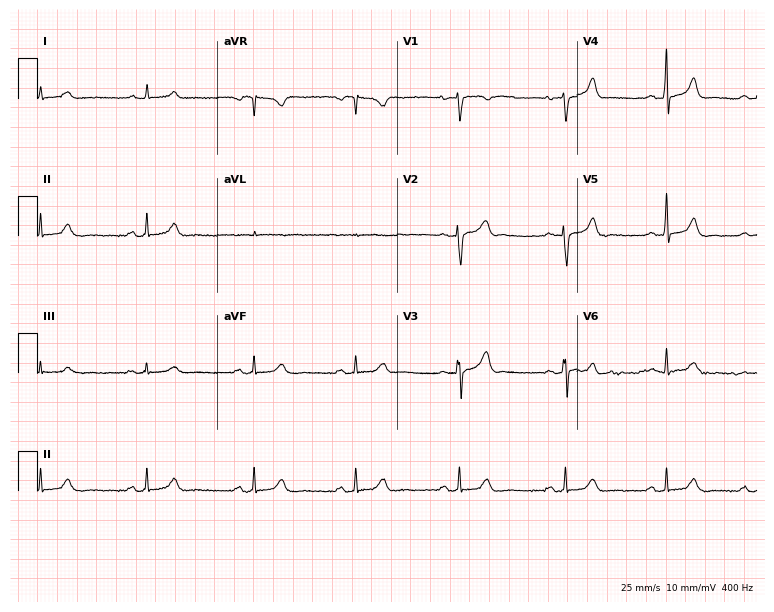
Resting 12-lead electrocardiogram. Patient: a 35-year-old female. Read as a normal ECG.